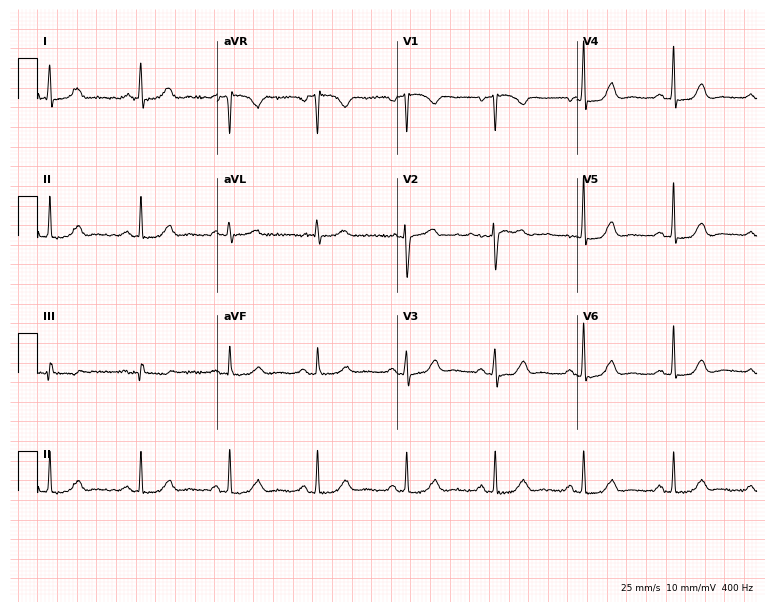
12-lead ECG (7.3-second recording at 400 Hz) from a woman, 77 years old. Screened for six findings — first-degree AV block, right bundle branch block, left bundle branch block, sinus bradycardia, atrial fibrillation, sinus tachycardia — none is recorded.